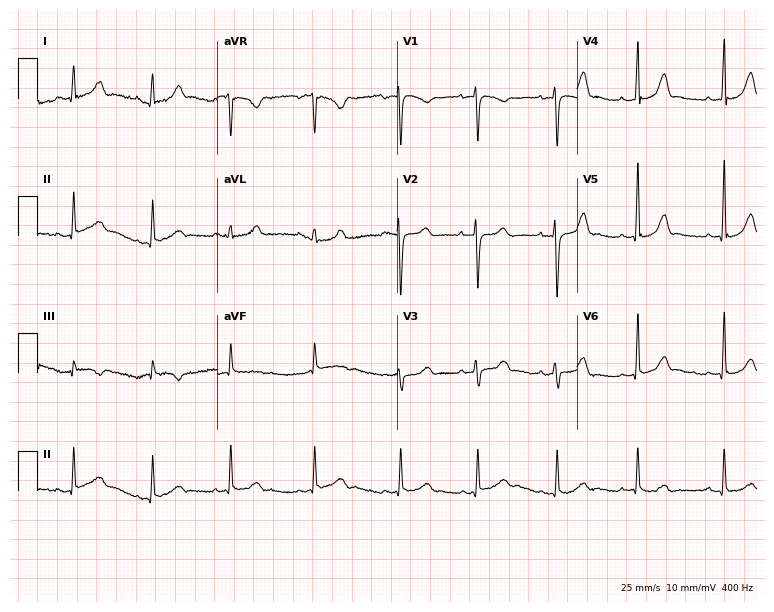
12-lead ECG from a 29-year-old woman. Recorded interpretation: within normal limits.